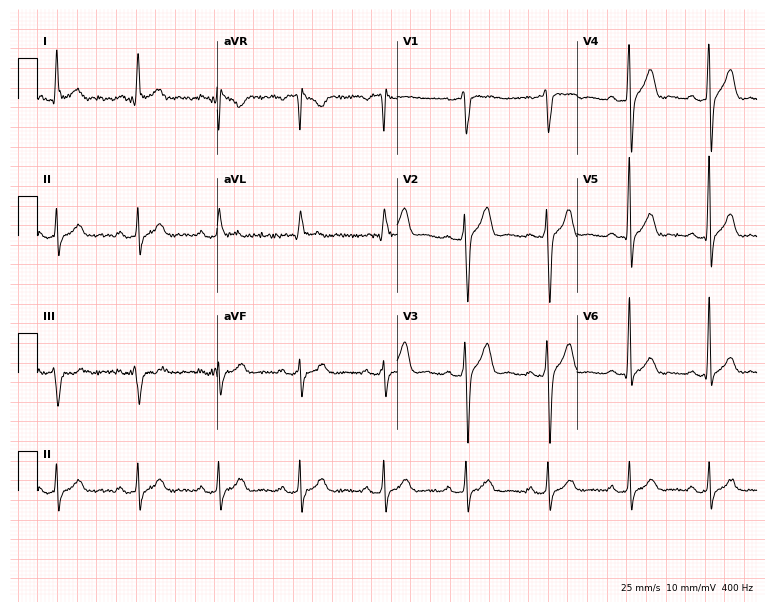
12-lead ECG from a man, 54 years old (7.3-second recording at 400 Hz). No first-degree AV block, right bundle branch block (RBBB), left bundle branch block (LBBB), sinus bradycardia, atrial fibrillation (AF) or sinus tachycardia recorded for this tracing.